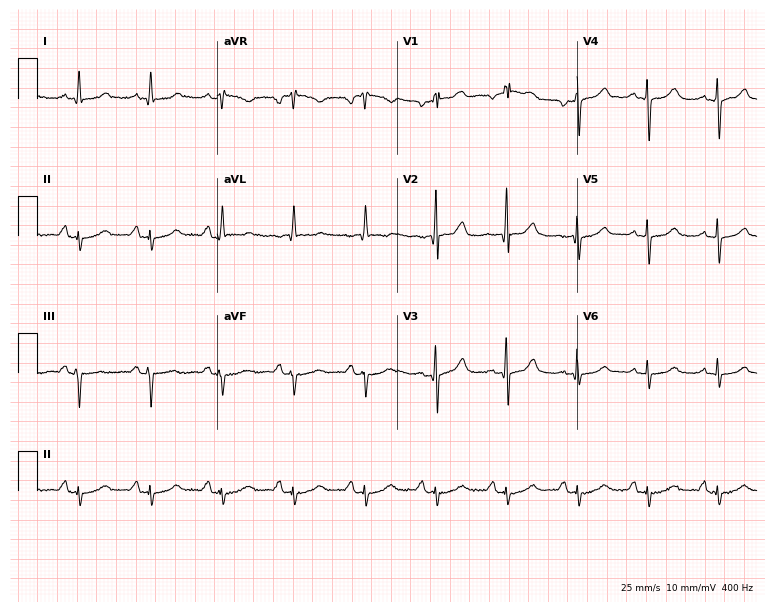
Standard 12-lead ECG recorded from a woman, 81 years old. None of these six findings is recorded: first-degree AV block, right bundle branch block (RBBB), left bundle branch block (LBBB), sinus bradycardia, atrial fibrillation (AF), sinus tachycardia.